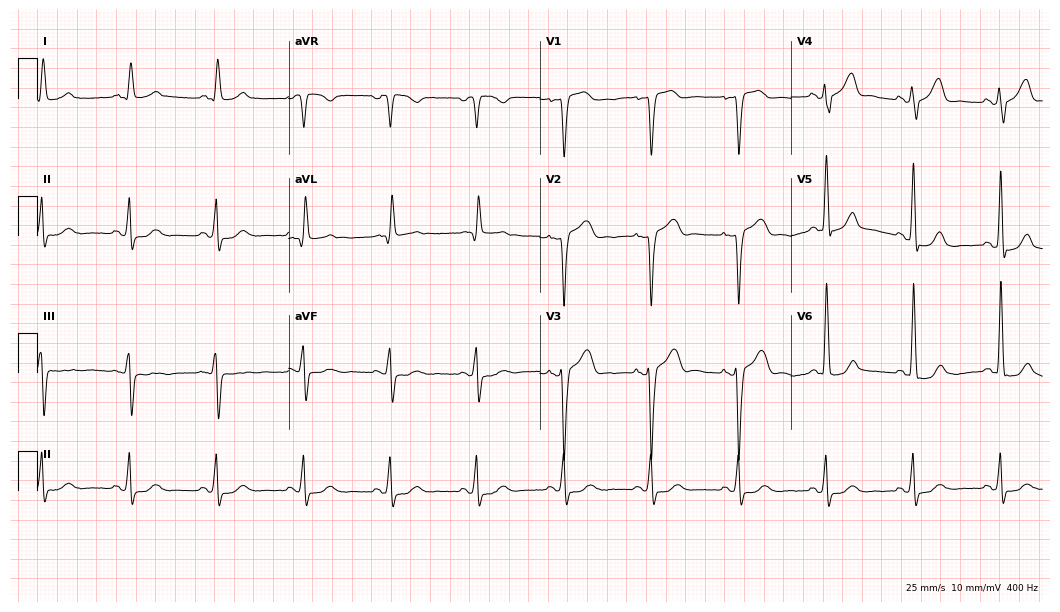
12-lead ECG from a male patient, 71 years old (10.2-second recording at 400 Hz). Shows left bundle branch block (LBBB).